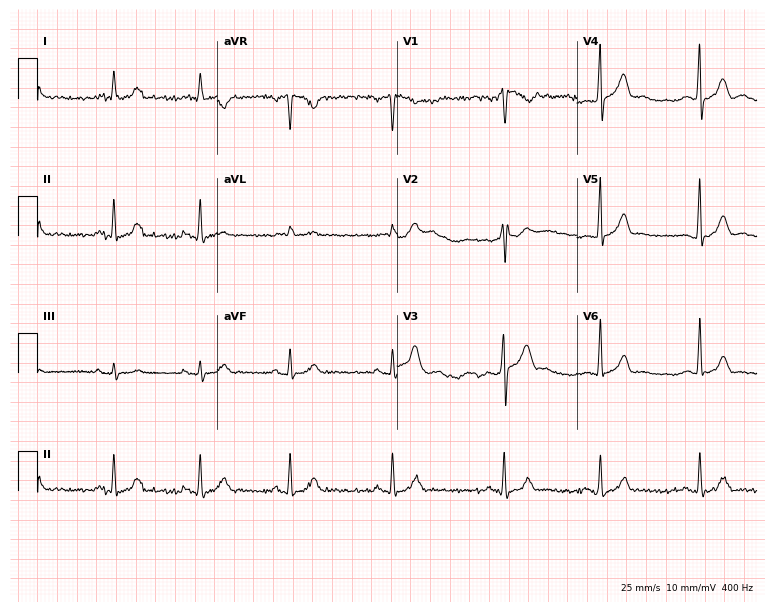
12-lead ECG from a 29-year-old male patient. Screened for six findings — first-degree AV block, right bundle branch block (RBBB), left bundle branch block (LBBB), sinus bradycardia, atrial fibrillation (AF), sinus tachycardia — none is recorded. Other findings, if any, are not listed.